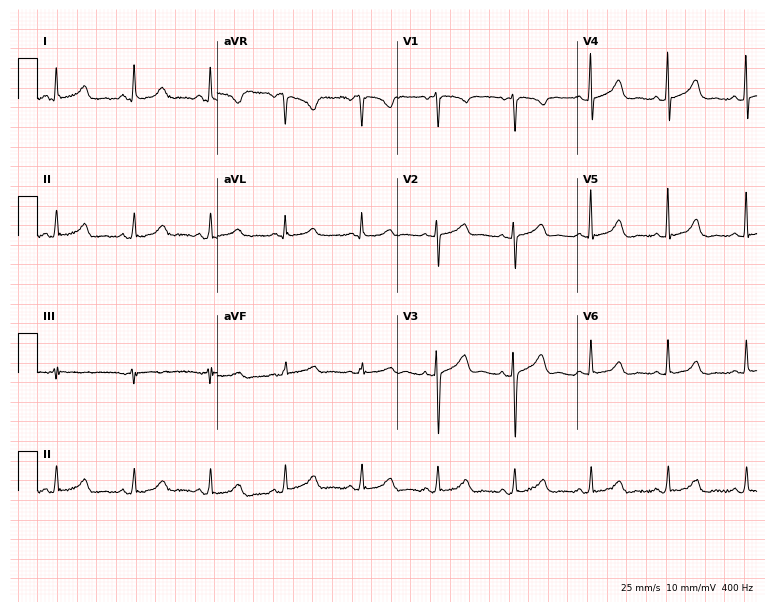
Standard 12-lead ECG recorded from a female, 33 years old. Read as a normal ECG.